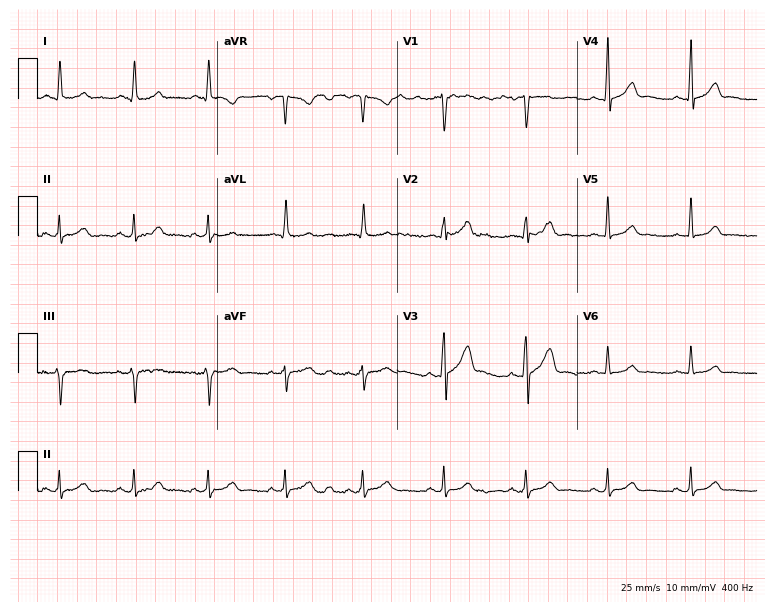
Standard 12-lead ECG recorded from a 54-year-old man (7.3-second recording at 400 Hz). Read as a normal ECG.